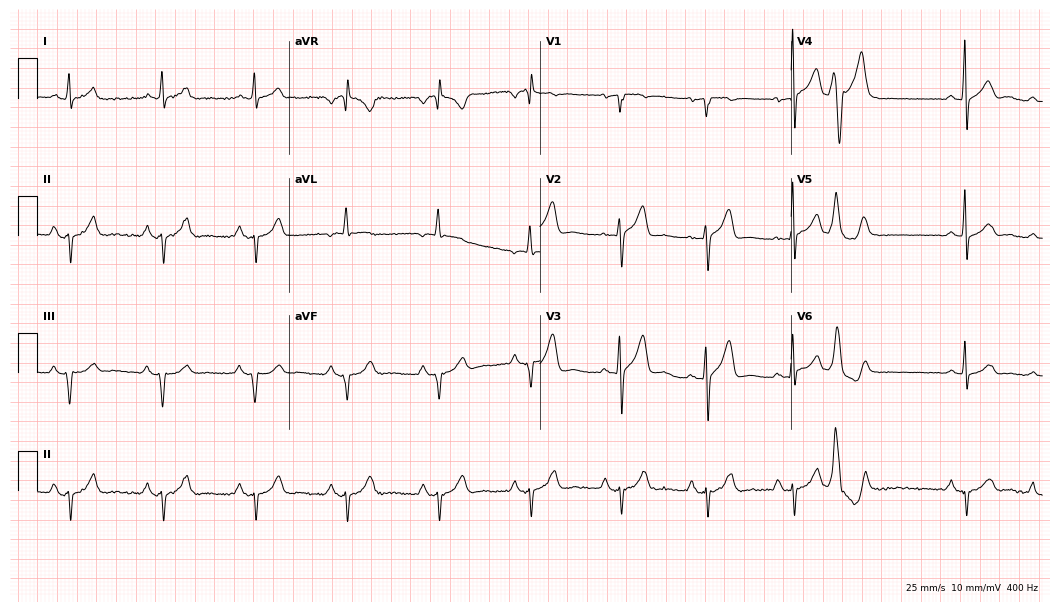
Resting 12-lead electrocardiogram (10.2-second recording at 400 Hz). Patient: a man, 44 years old. None of these six findings is recorded: first-degree AV block, right bundle branch block, left bundle branch block, sinus bradycardia, atrial fibrillation, sinus tachycardia.